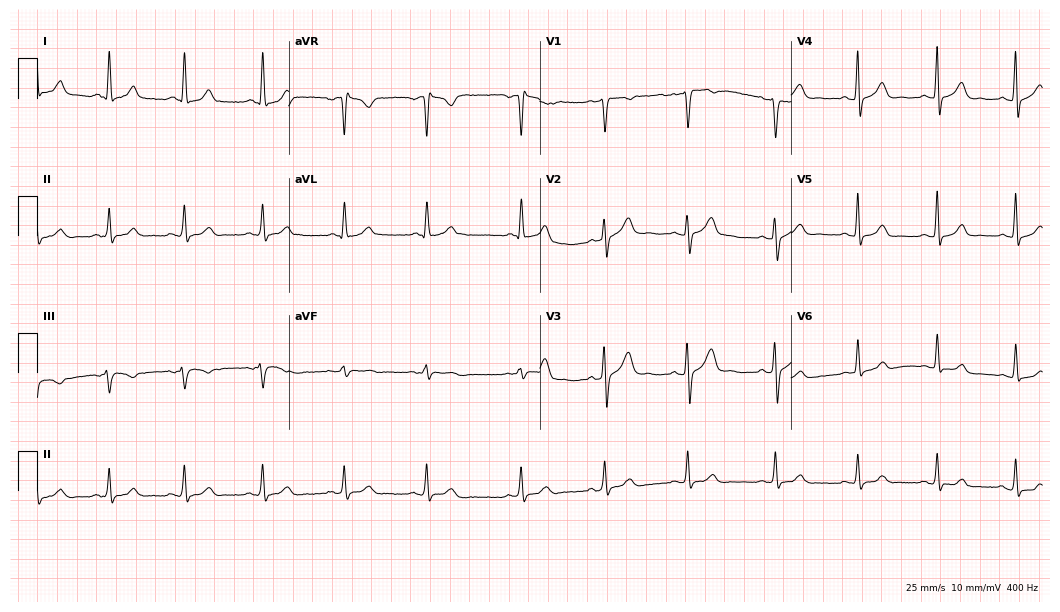
12-lead ECG from a male, 38 years old. No first-degree AV block, right bundle branch block (RBBB), left bundle branch block (LBBB), sinus bradycardia, atrial fibrillation (AF) or sinus tachycardia recorded for this tracing. Only these six findings were labelled.